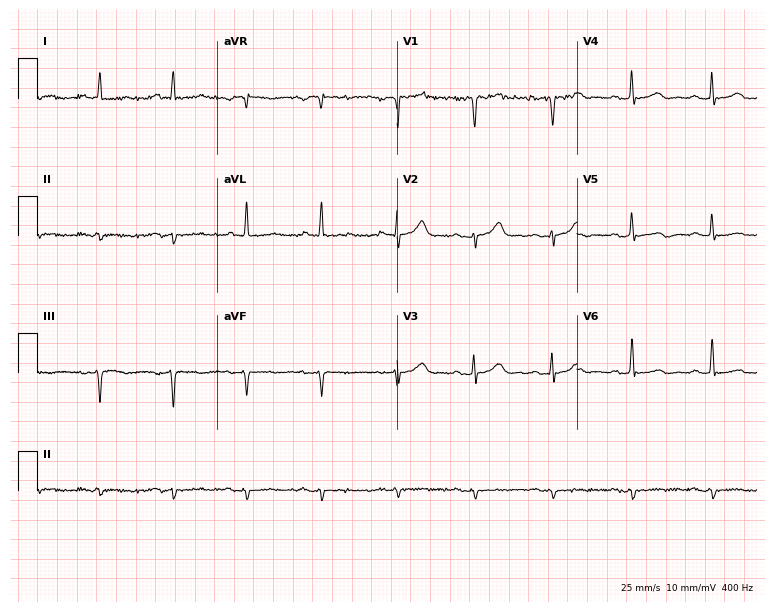
ECG — a man, 80 years old. Screened for six findings — first-degree AV block, right bundle branch block (RBBB), left bundle branch block (LBBB), sinus bradycardia, atrial fibrillation (AF), sinus tachycardia — none is recorded. Findings outside these six are not listed.